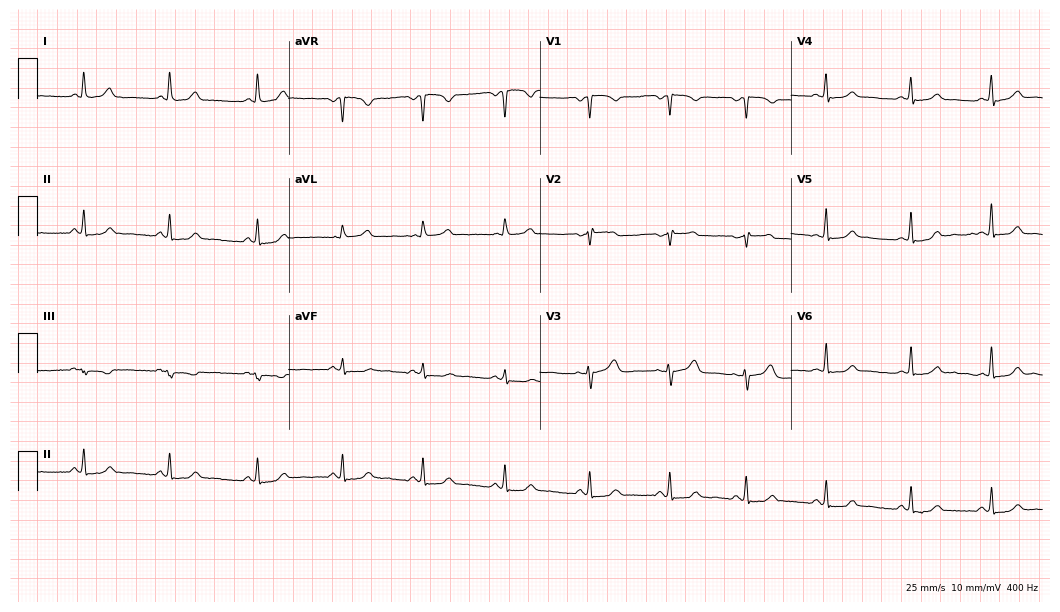
Standard 12-lead ECG recorded from a 48-year-old female patient (10.2-second recording at 400 Hz). None of these six findings is recorded: first-degree AV block, right bundle branch block, left bundle branch block, sinus bradycardia, atrial fibrillation, sinus tachycardia.